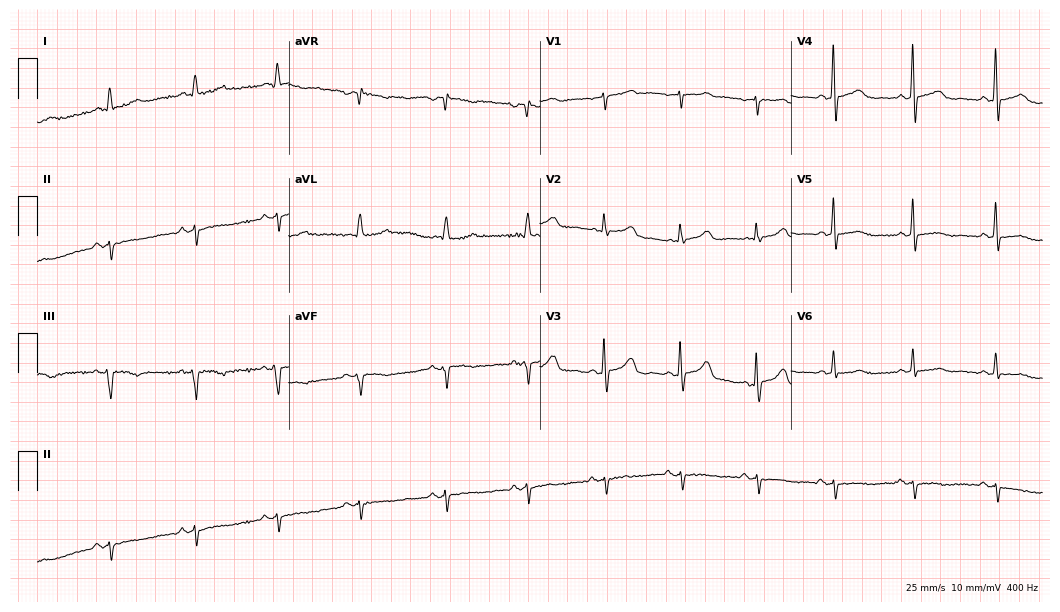
ECG (10.2-second recording at 400 Hz) — a female, 63 years old. Screened for six findings — first-degree AV block, right bundle branch block (RBBB), left bundle branch block (LBBB), sinus bradycardia, atrial fibrillation (AF), sinus tachycardia — none is recorded. Findings outside these six are not listed.